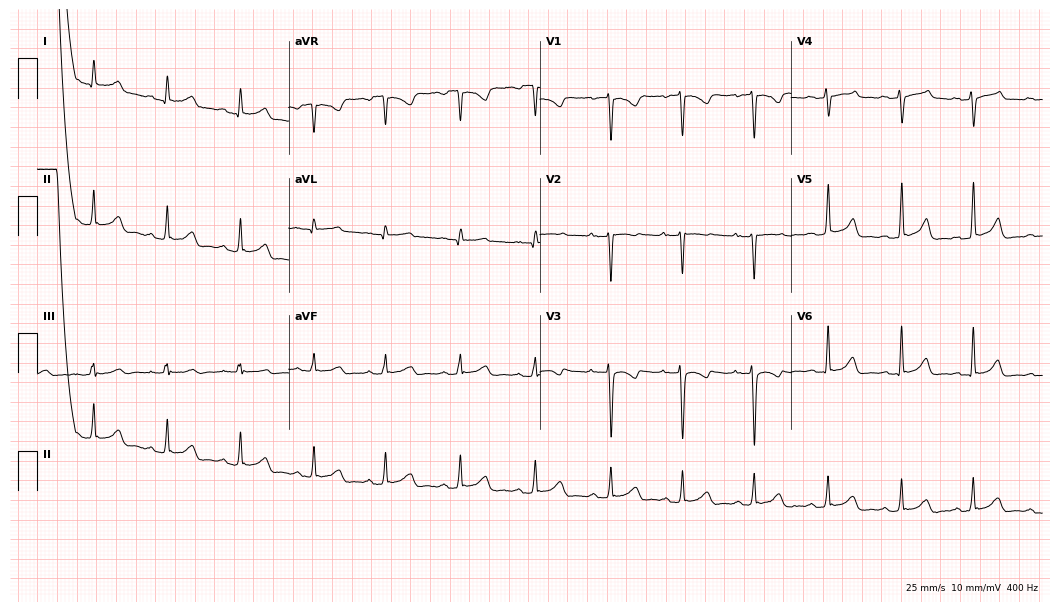
12-lead ECG (10.2-second recording at 400 Hz) from a 31-year-old female patient. Screened for six findings — first-degree AV block, right bundle branch block (RBBB), left bundle branch block (LBBB), sinus bradycardia, atrial fibrillation (AF), sinus tachycardia — none is recorded.